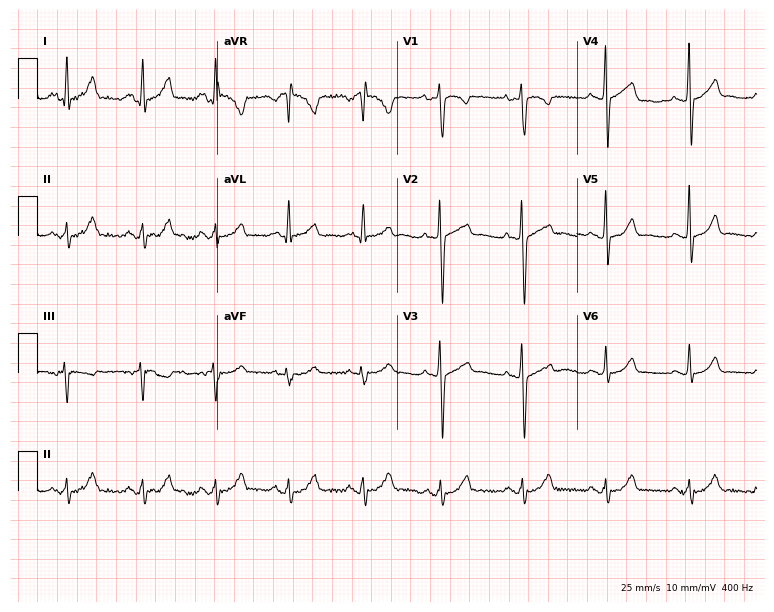
Resting 12-lead electrocardiogram. Patient: a 43-year-old female. None of these six findings is recorded: first-degree AV block, right bundle branch block (RBBB), left bundle branch block (LBBB), sinus bradycardia, atrial fibrillation (AF), sinus tachycardia.